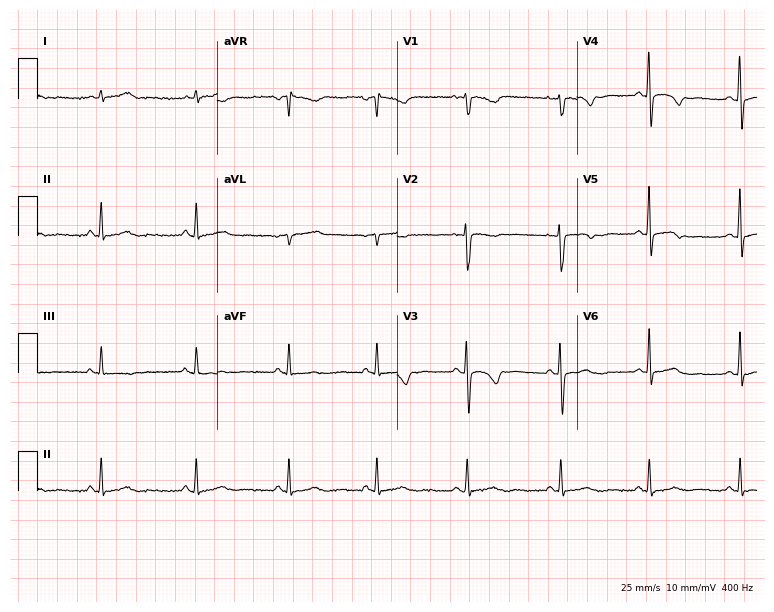
Resting 12-lead electrocardiogram (7.3-second recording at 400 Hz). Patient: a 38-year-old female. None of these six findings is recorded: first-degree AV block, right bundle branch block (RBBB), left bundle branch block (LBBB), sinus bradycardia, atrial fibrillation (AF), sinus tachycardia.